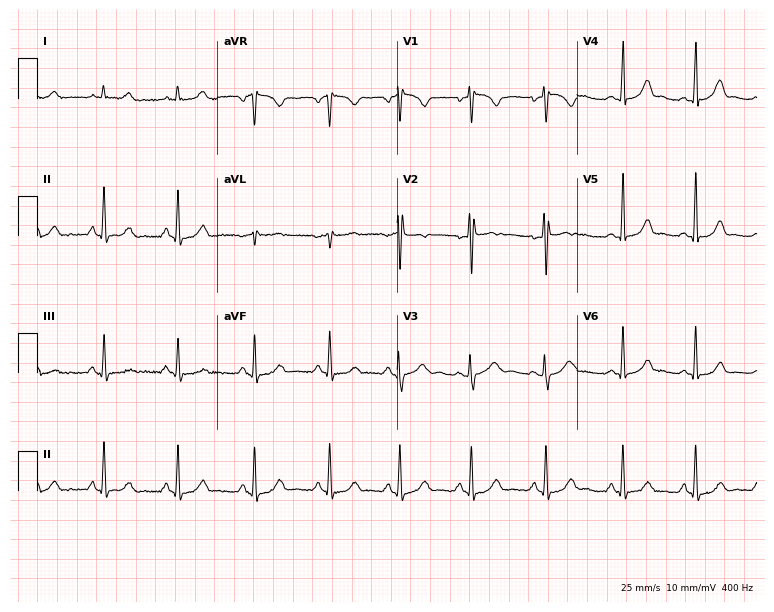
12-lead ECG from a 25-year-old female patient. Screened for six findings — first-degree AV block, right bundle branch block, left bundle branch block, sinus bradycardia, atrial fibrillation, sinus tachycardia — none is recorded. Findings outside these six are not listed.